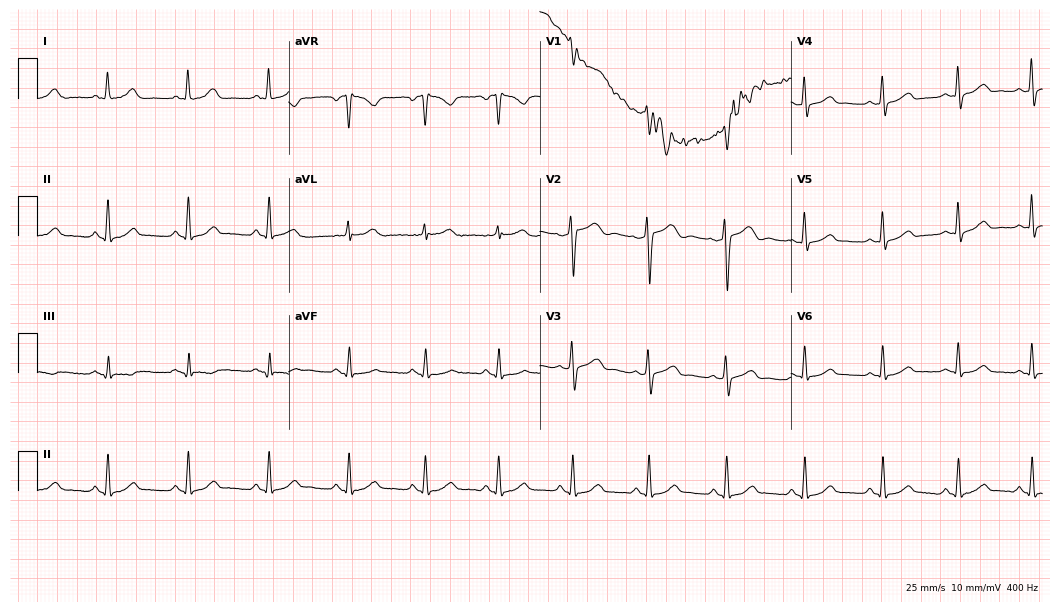
Electrocardiogram (10.2-second recording at 400 Hz), a female, 43 years old. Overall reading on record: normal ECG.